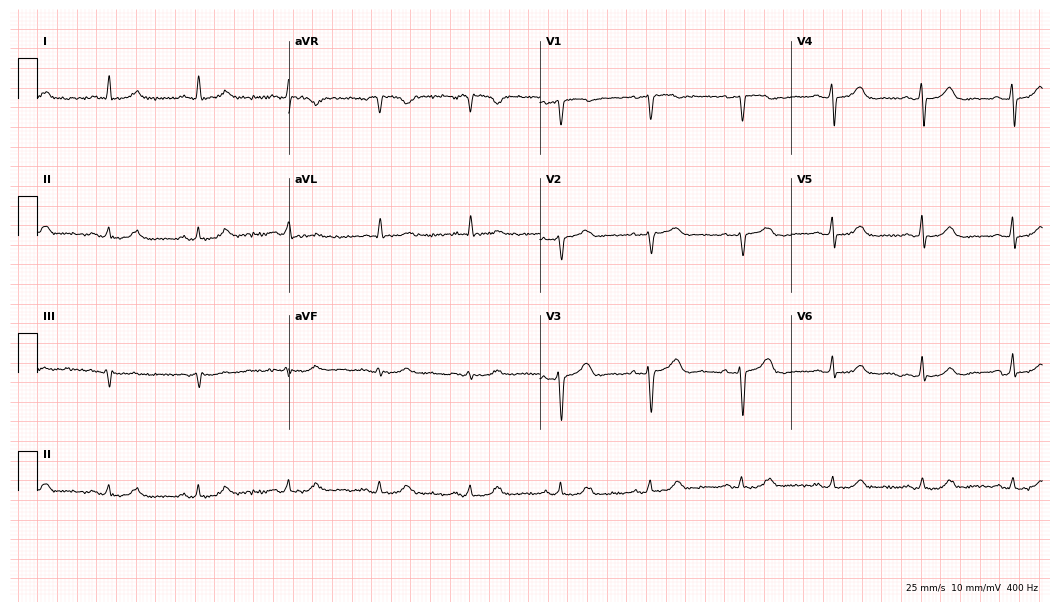
Electrocardiogram, a female patient, 60 years old. Overall reading on record: normal ECG.